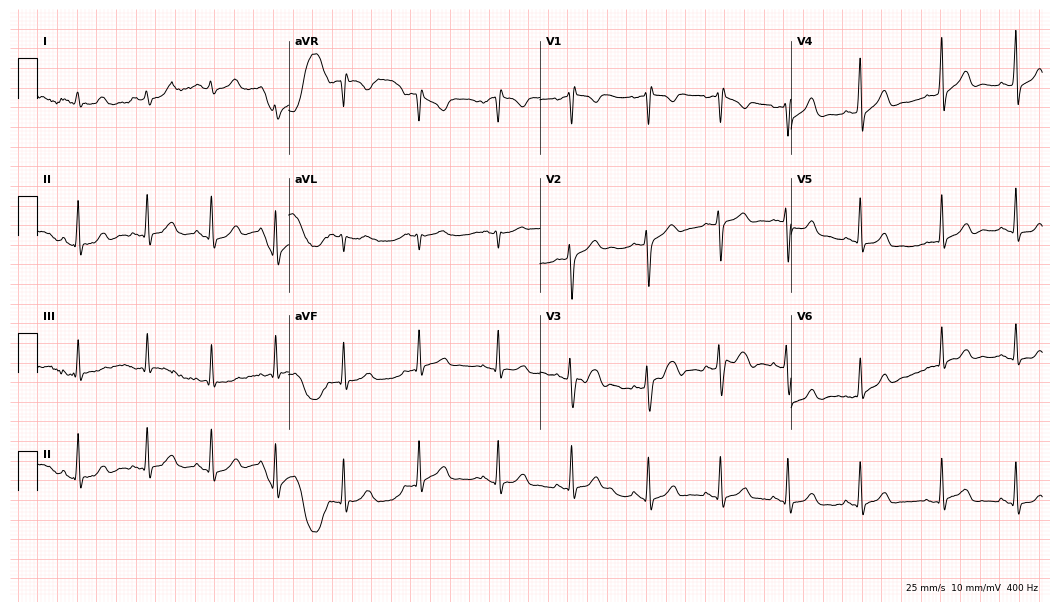
12-lead ECG (10.2-second recording at 400 Hz) from a female, 20 years old. Labelled as a normal ECG.